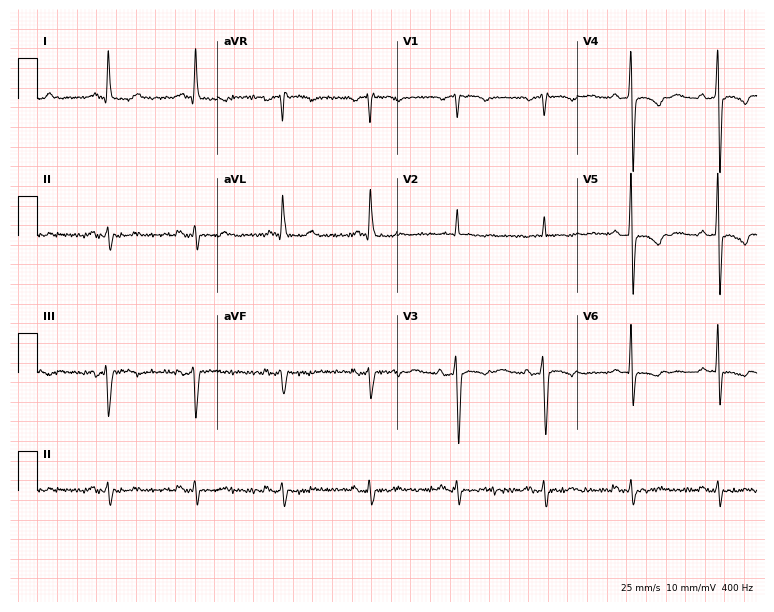
Electrocardiogram (7.3-second recording at 400 Hz), a 79-year-old male patient. Of the six screened findings (first-degree AV block, right bundle branch block (RBBB), left bundle branch block (LBBB), sinus bradycardia, atrial fibrillation (AF), sinus tachycardia), none is recorded.